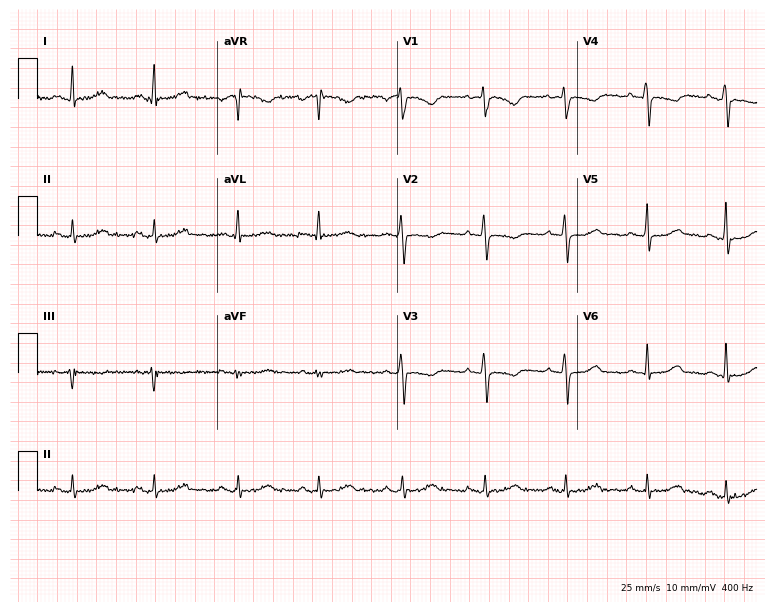
Standard 12-lead ECG recorded from a 51-year-old woman (7.3-second recording at 400 Hz). None of these six findings is recorded: first-degree AV block, right bundle branch block, left bundle branch block, sinus bradycardia, atrial fibrillation, sinus tachycardia.